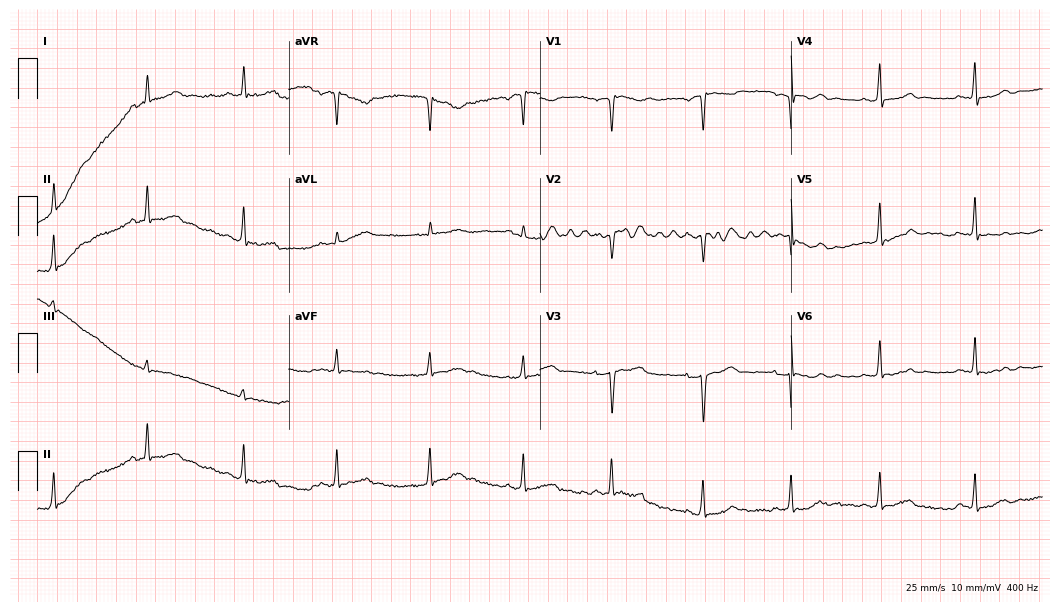
Standard 12-lead ECG recorded from a female patient, 43 years old (10.2-second recording at 400 Hz). None of these six findings is recorded: first-degree AV block, right bundle branch block (RBBB), left bundle branch block (LBBB), sinus bradycardia, atrial fibrillation (AF), sinus tachycardia. Other findings, if any, are not listed.